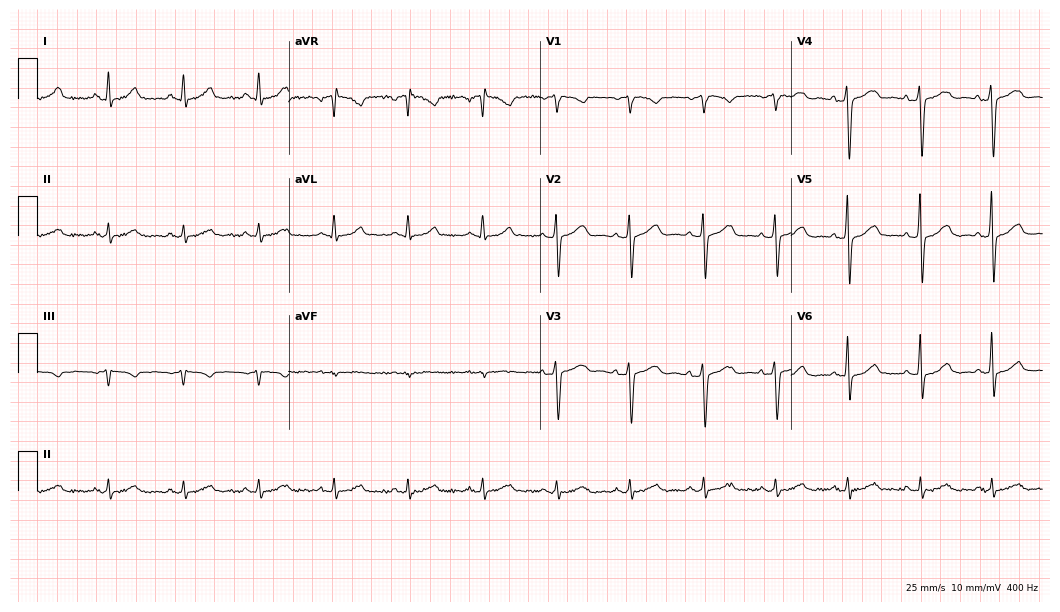
Resting 12-lead electrocardiogram. Patient: a female, 34 years old. Read as a normal ECG.